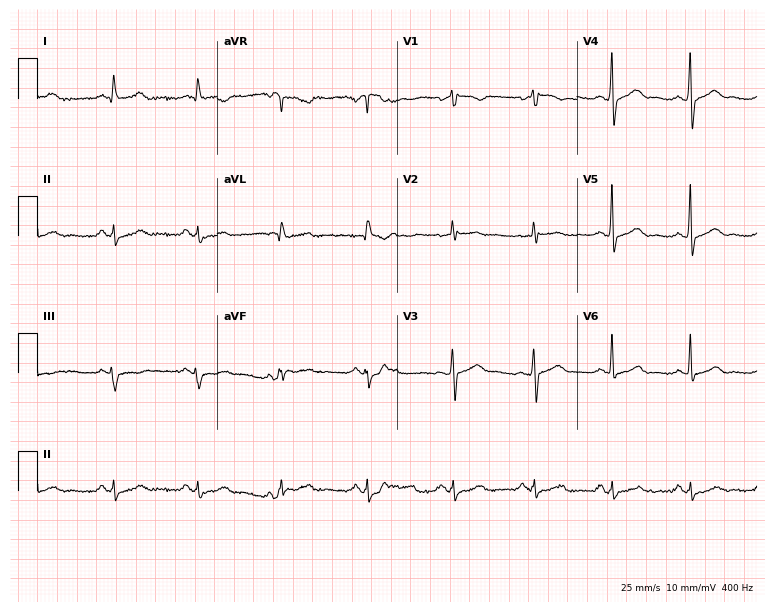
12-lead ECG from a male, 57 years old. Labelled as a normal ECG.